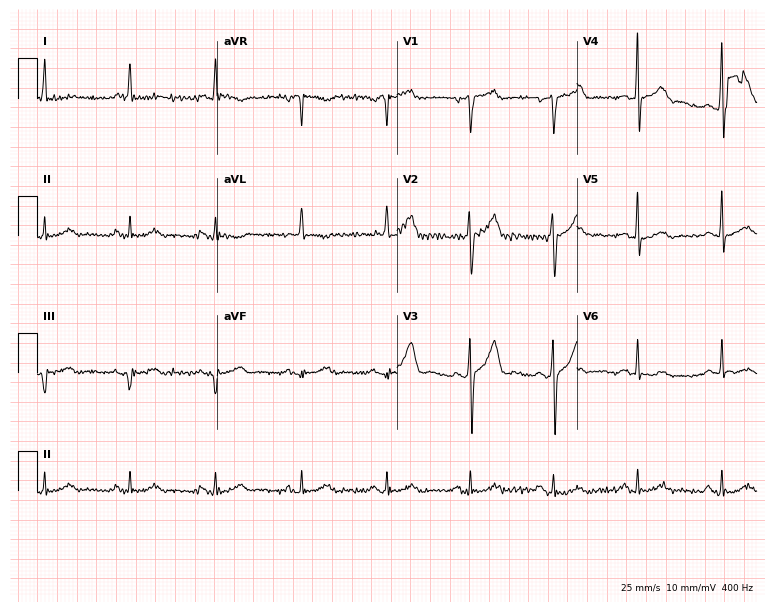
12-lead ECG from a 69-year-old male. Screened for six findings — first-degree AV block, right bundle branch block, left bundle branch block, sinus bradycardia, atrial fibrillation, sinus tachycardia — none is recorded. Other findings, if any, are not listed.